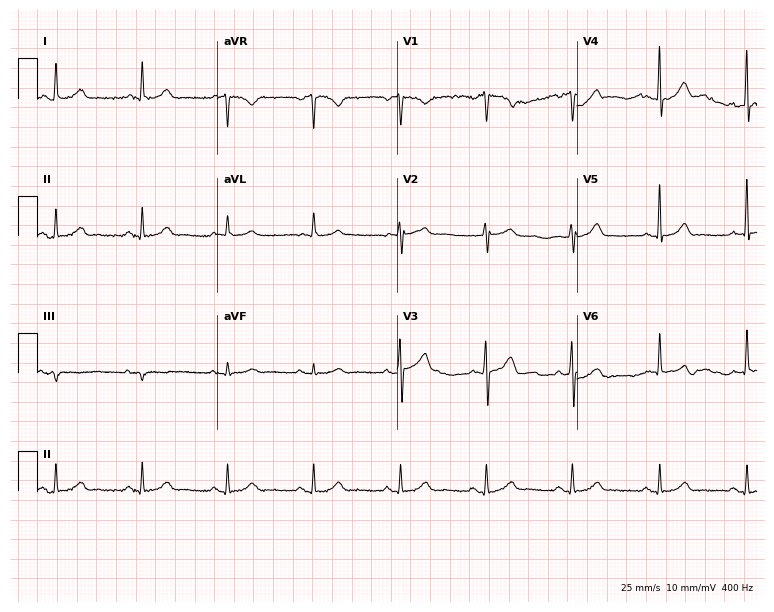
12-lead ECG from a man, 49 years old. Recorded interpretation: within normal limits.